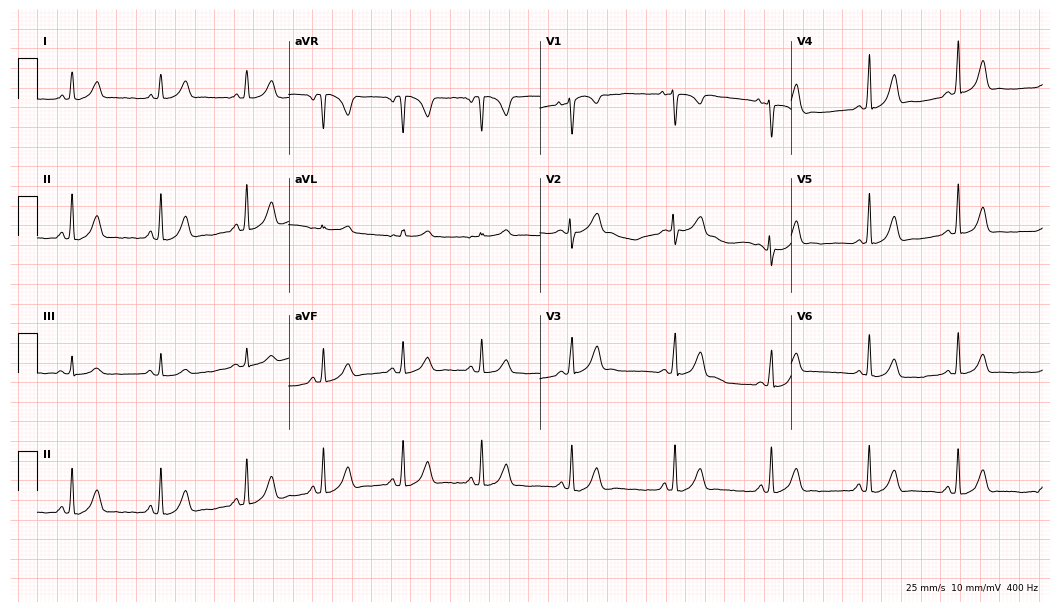
Resting 12-lead electrocardiogram. Patient: a 24-year-old female. None of these six findings is recorded: first-degree AV block, right bundle branch block (RBBB), left bundle branch block (LBBB), sinus bradycardia, atrial fibrillation (AF), sinus tachycardia.